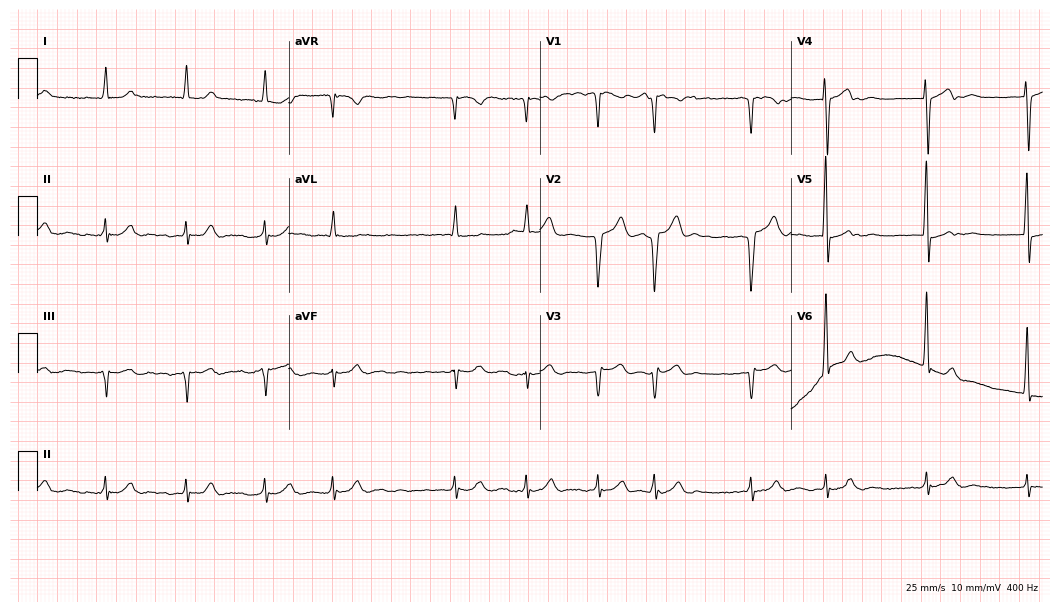
12-lead ECG from an 86-year-old man. Findings include atrial fibrillation.